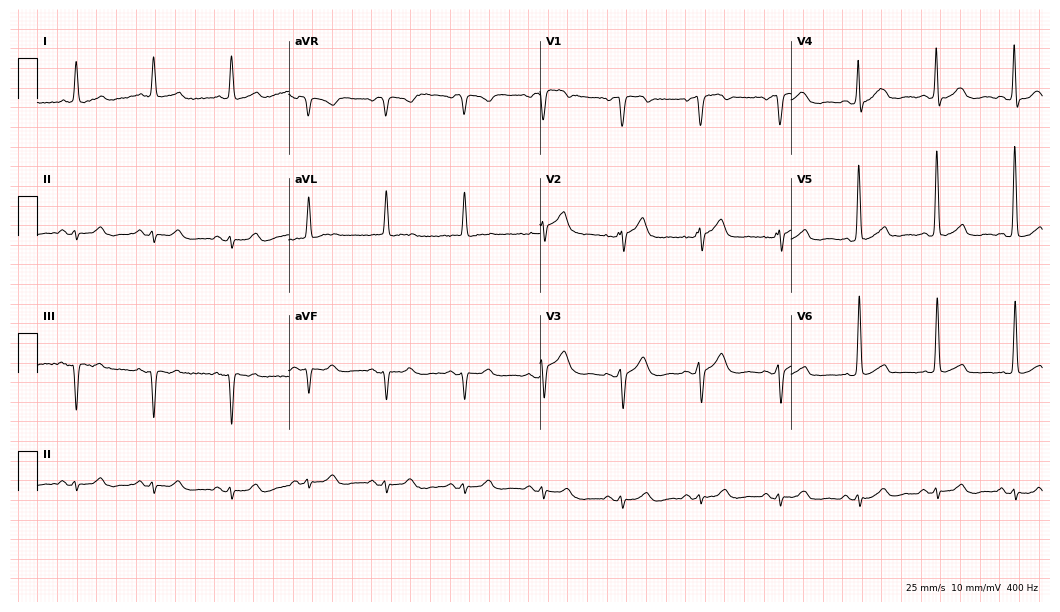
Resting 12-lead electrocardiogram. Patient: a 67-year-old man. None of these six findings is recorded: first-degree AV block, right bundle branch block (RBBB), left bundle branch block (LBBB), sinus bradycardia, atrial fibrillation (AF), sinus tachycardia. Findings outside these six are not listed.